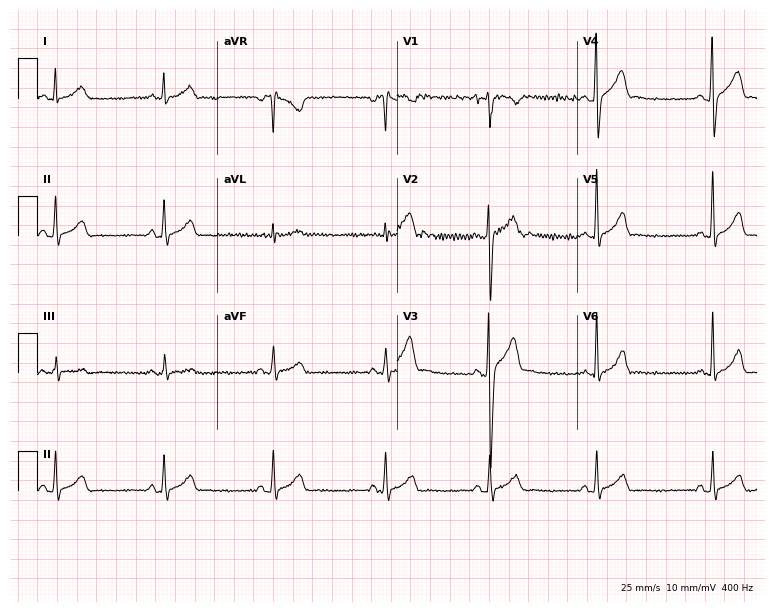
ECG (7.3-second recording at 400 Hz) — a 22-year-old male. Labelled as a normal ECG.